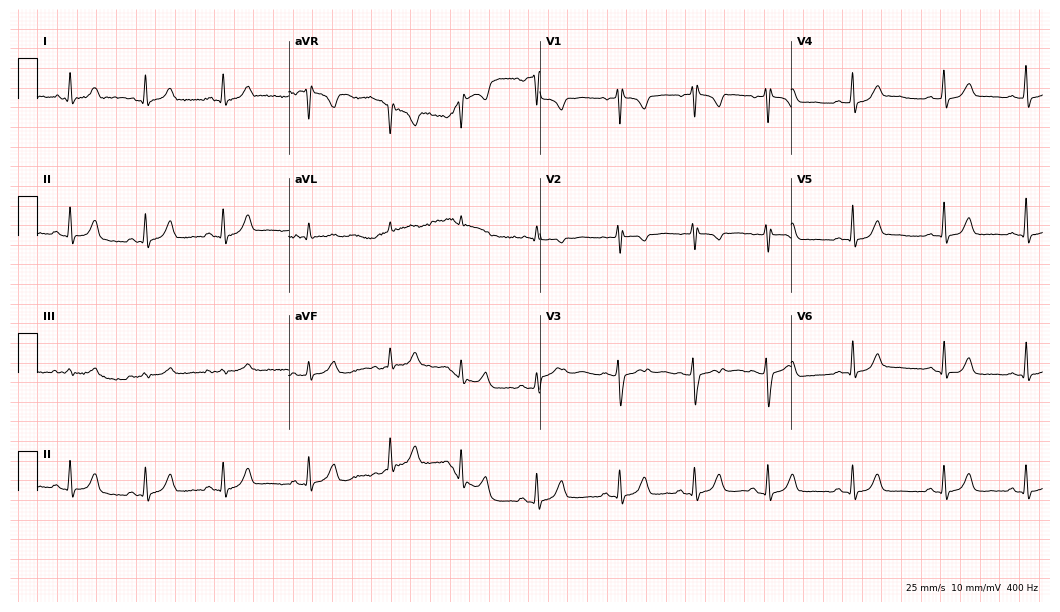
Resting 12-lead electrocardiogram. Patient: a 26-year-old female. None of these six findings is recorded: first-degree AV block, right bundle branch block, left bundle branch block, sinus bradycardia, atrial fibrillation, sinus tachycardia. Other findings, if any, are not listed.